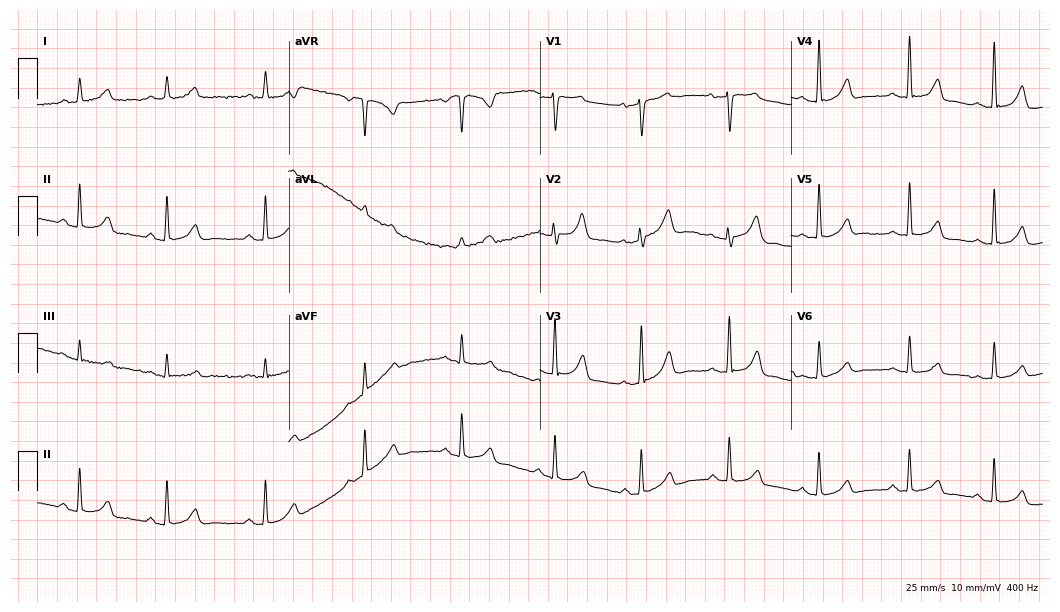
Standard 12-lead ECG recorded from a 43-year-old female patient. Read as a normal ECG.